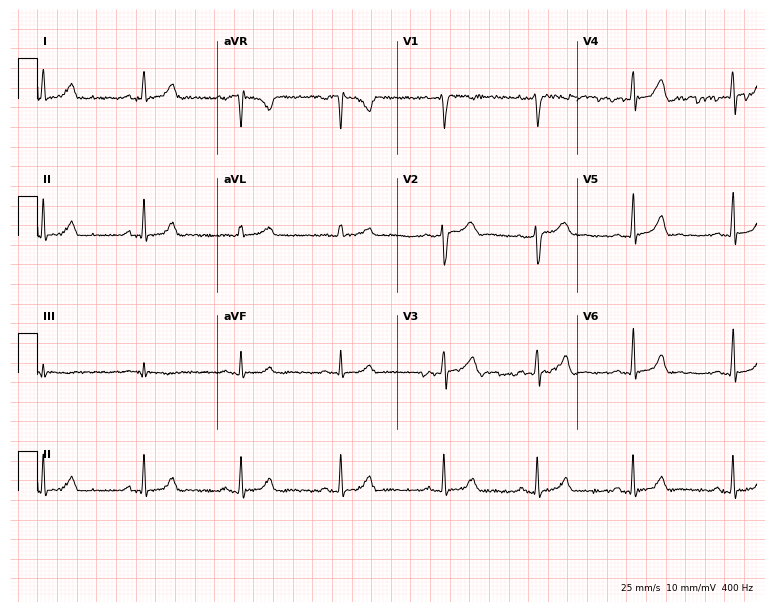
ECG — a 22-year-old female patient. Labelled as a normal ECG.